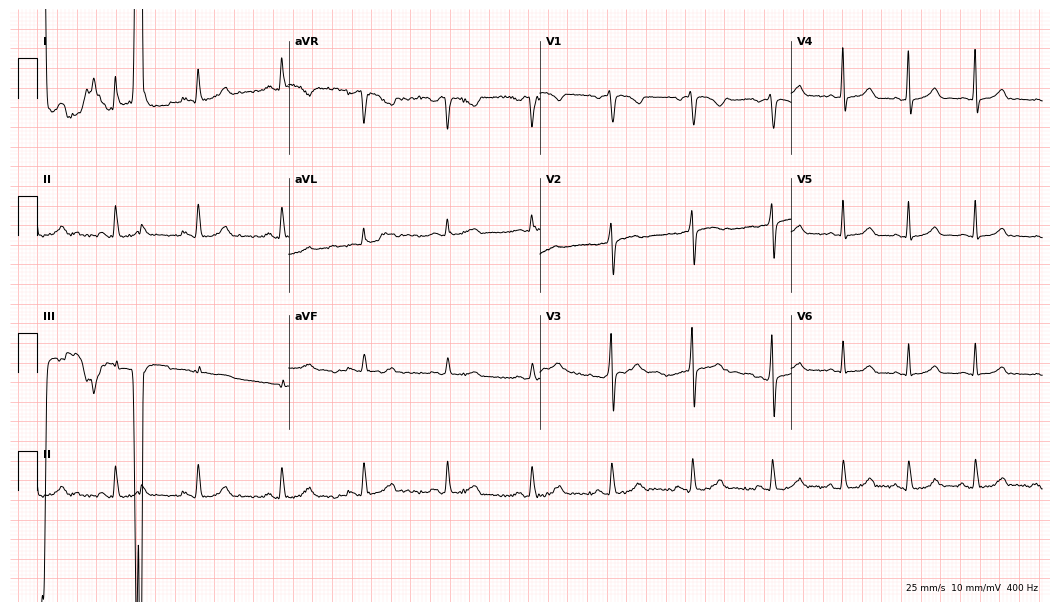
Electrocardiogram (10.2-second recording at 400 Hz), a female, 46 years old. Of the six screened findings (first-degree AV block, right bundle branch block, left bundle branch block, sinus bradycardia, atrial fibrillation, sinus tachycardia), none is recorded.